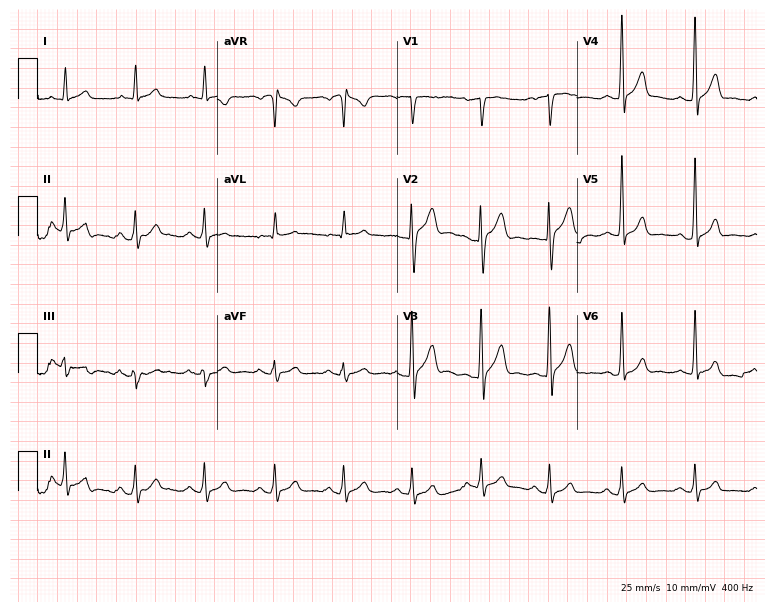
12-lead ECG from a 34-year-old male patient. Recorded interpretation: within normal limits.